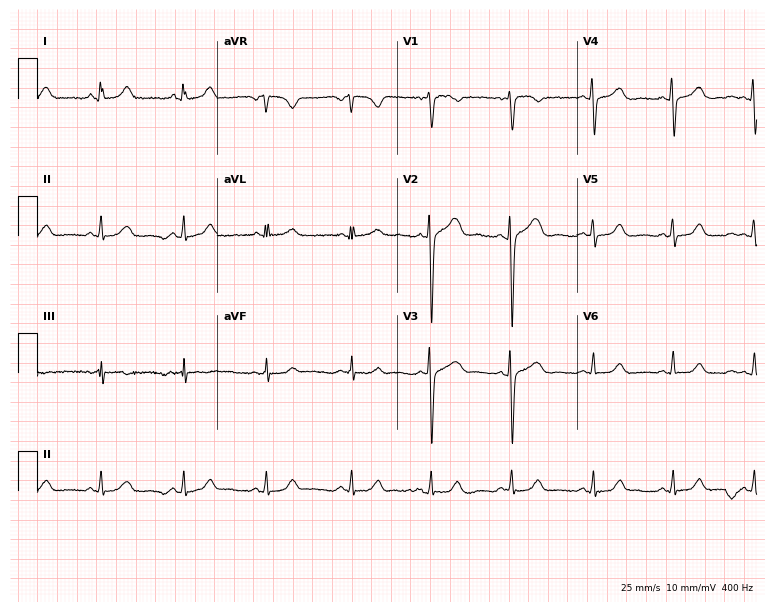
12-lead ECG from a 39-year-old woman. No first-degree AV block, right bundle branch block, left bundle branch block, sinus bradycardia, atrial fibrillation or sinus tachycardia recorded for this tracing.